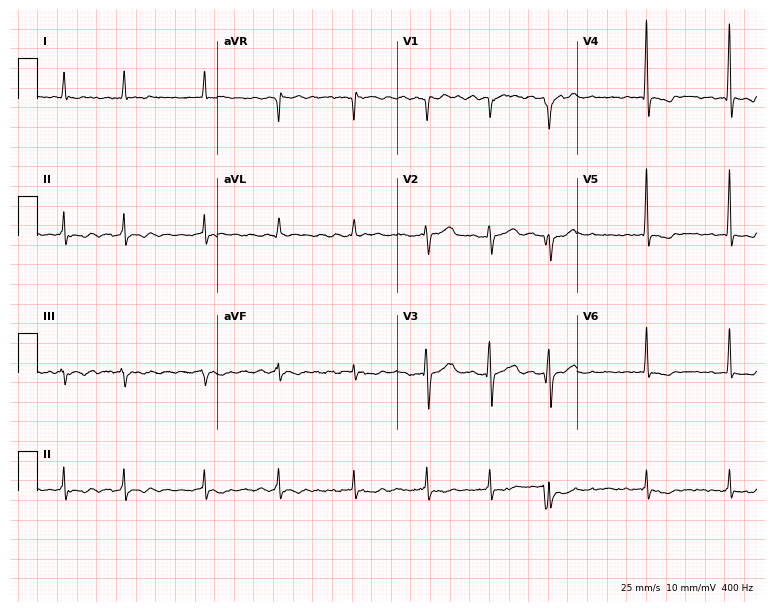
Electrocardiogram (7.3-second recording at 400 Hz), a 75-year-old male. Interpretation includes atrial fibrillation.